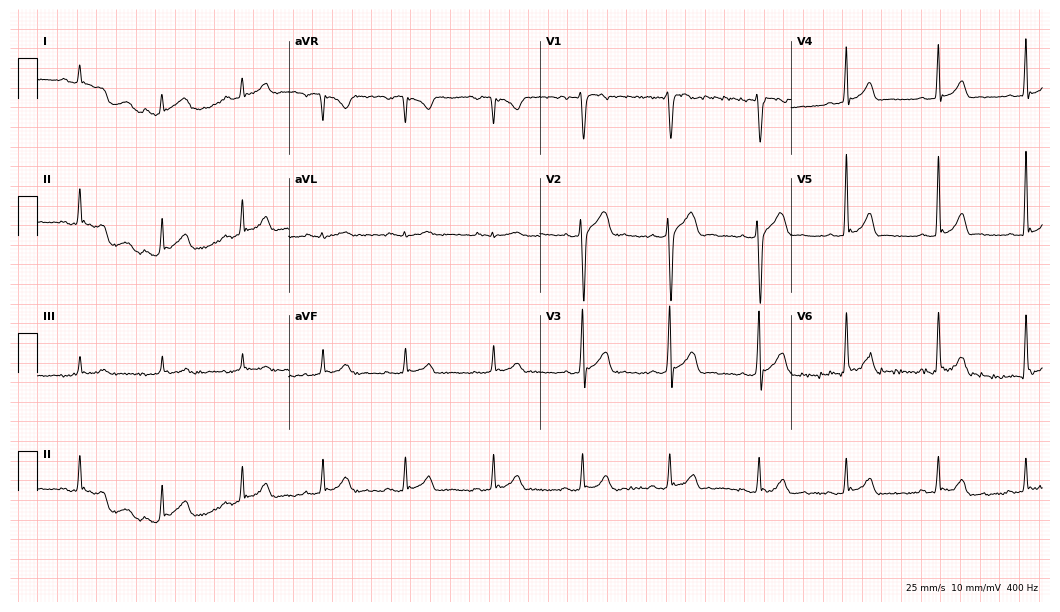
ECG — a male, 20 years old. Labelled as a normal ECG.